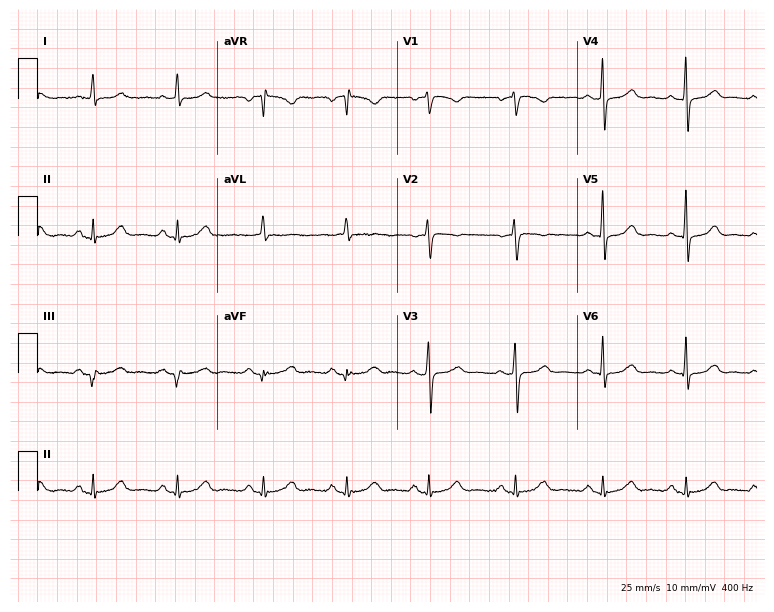
12-lead ECG from a 41-year-old female patient. Recorded interpretation: within normal limits.